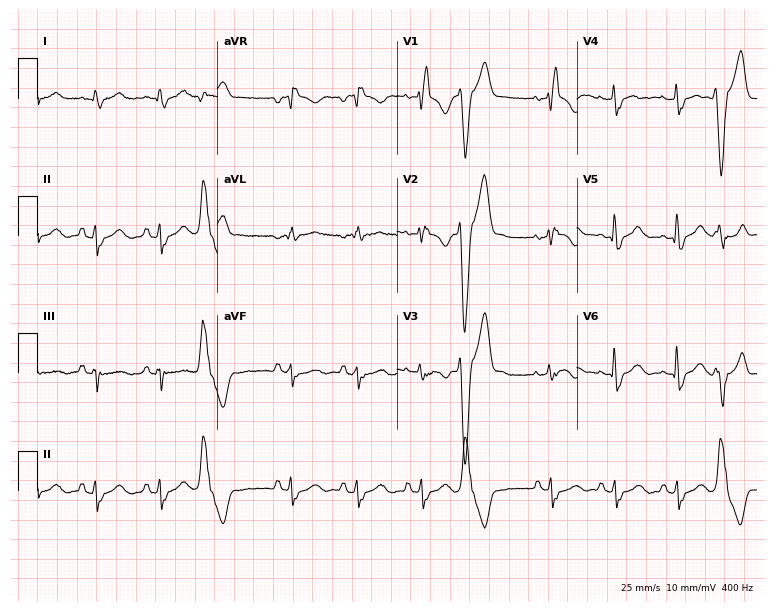
Standard 12-lead ECG recorded from a 70-year-old male. The tracing shows right bundle branch block.